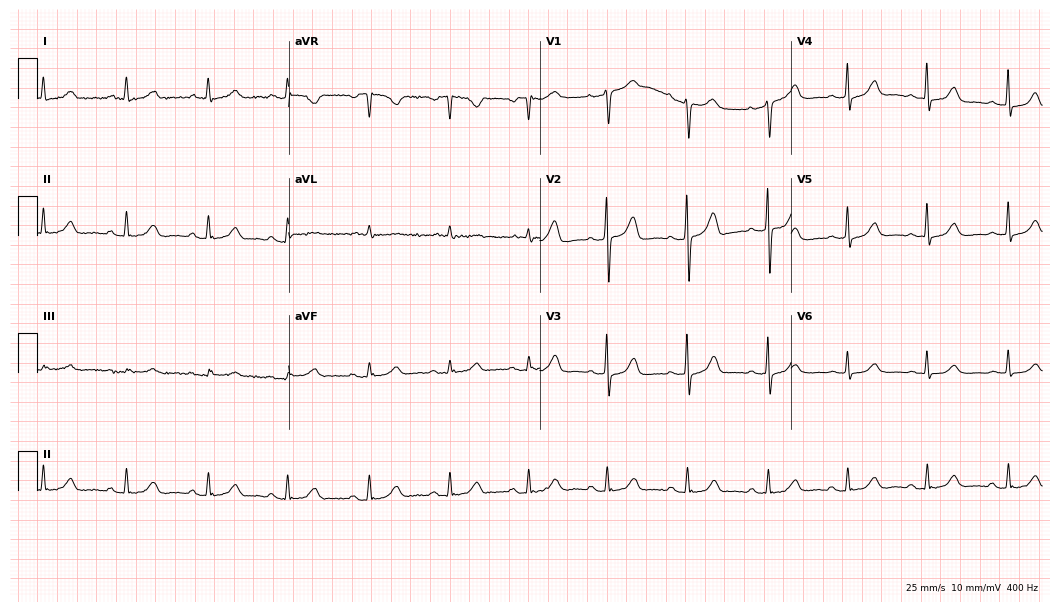
Electrocardiogram, an 81-year-old woman. Of the six screened findings (first-degree AV block, right bundle branch block, left bundle branch block, sinus bradycardia, atrial fibrillation, sinus tachycardia), none is recorded.